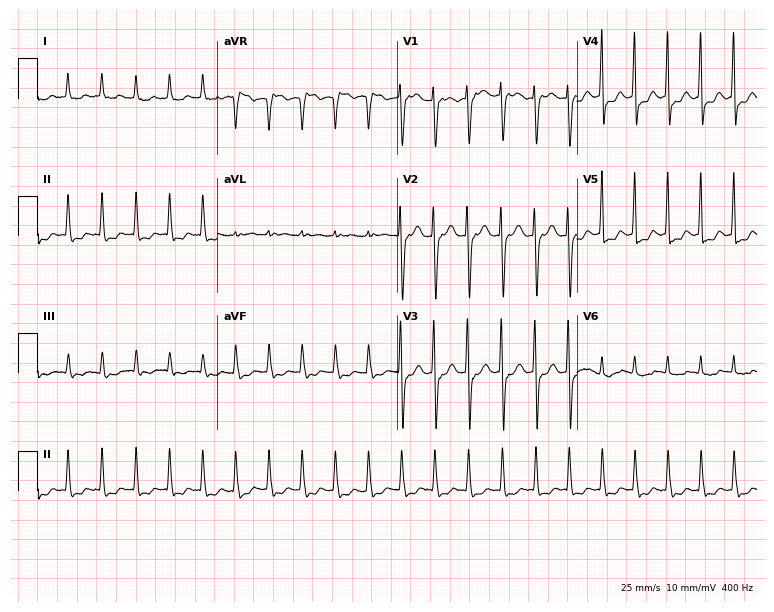
ECG (7.3-second recording at 400 Hz) — a 48-year-old woman. Findings include sinus tachycardia (a sinus rate of 100 beats per minute or more).